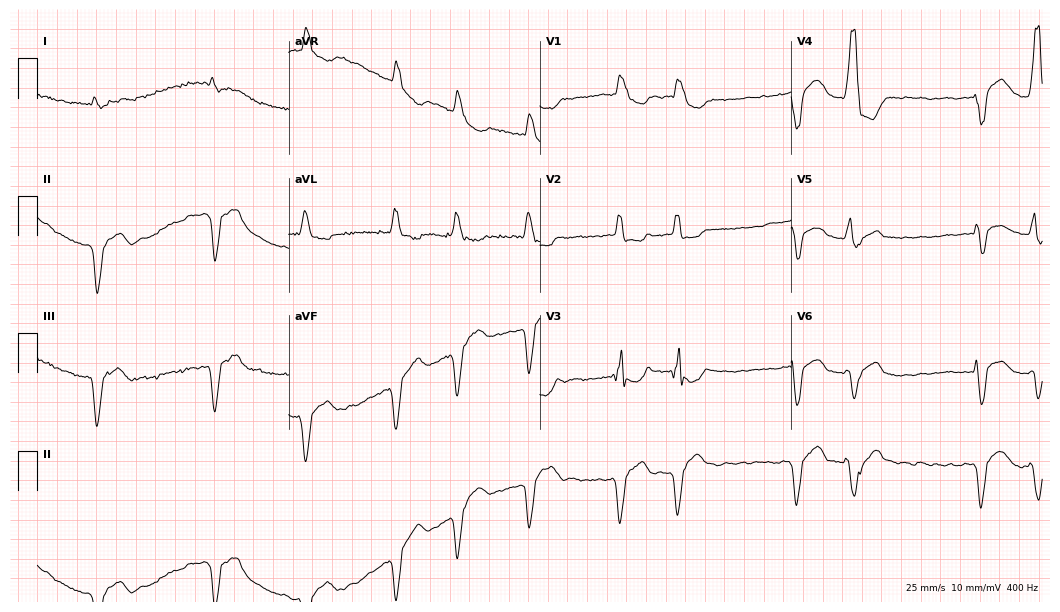
ECG (10.2-second recording at 400 Hz) — a man, 78 years old. Screened for six findings — first-degree AV block, right bundle branch block, left bundle branch block, sinus bradycardia, atrial fibrillation, sinus tachycardia — none is recorded. Only these six findings were labelled.